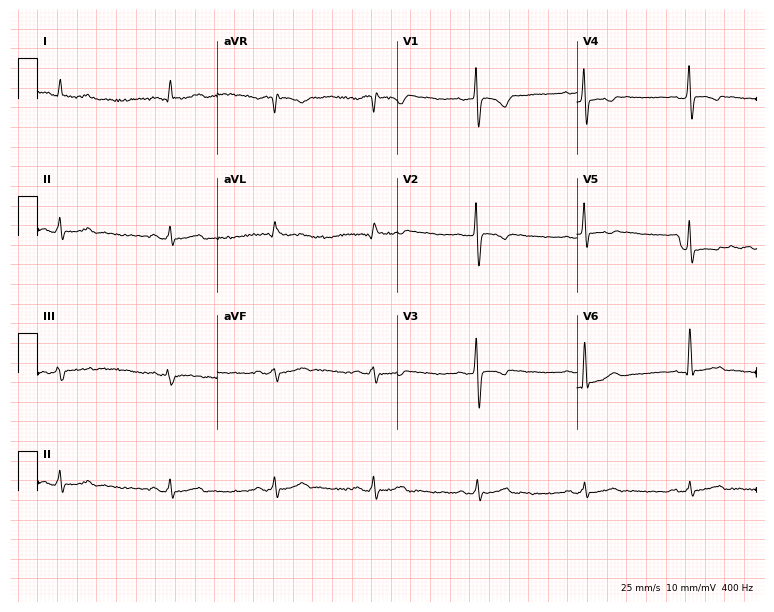
12-lead ECG (7.3-second recording at 400 Hz) from a male patient, 46 years old. Screened for six findings — first-degree AV block, right bundle branch block, left bundle branch block, sinus bradycardia, atrial fibrillation, sinus tachycardia — none is recorded. Other findings, if any, are not listed.